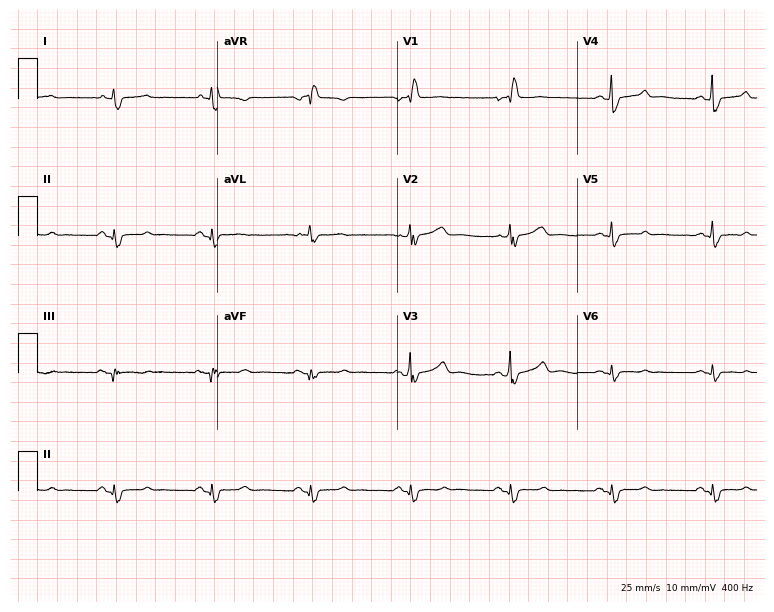
12-lead ECG from a female patient, 52 years old. Shows right bundle branch block (RBBB).